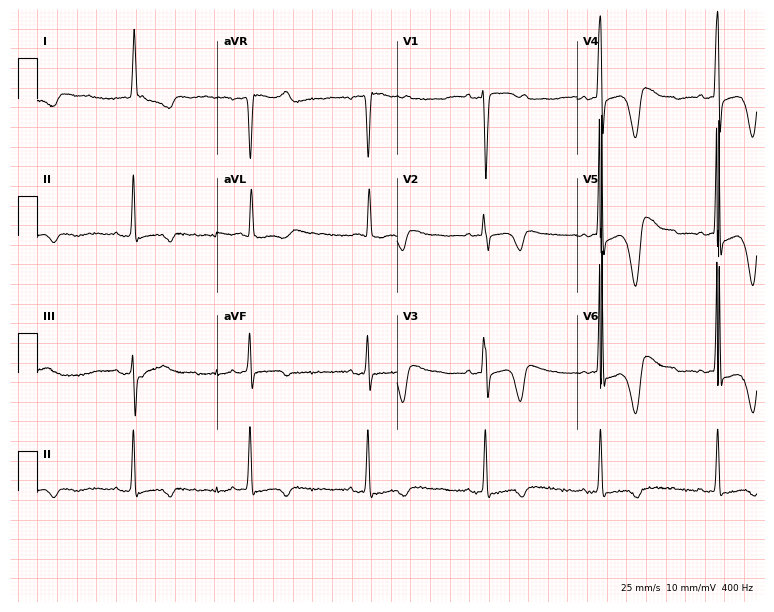
12-lead ECG from an 85-year-old female. Screened for six findings — first-degree AV block, right bundle branch block, left bundle branch block, sinus bradycardia, atrial fibrillation, sinus tachycardia — none is recorded. Only these six findings were labelled.